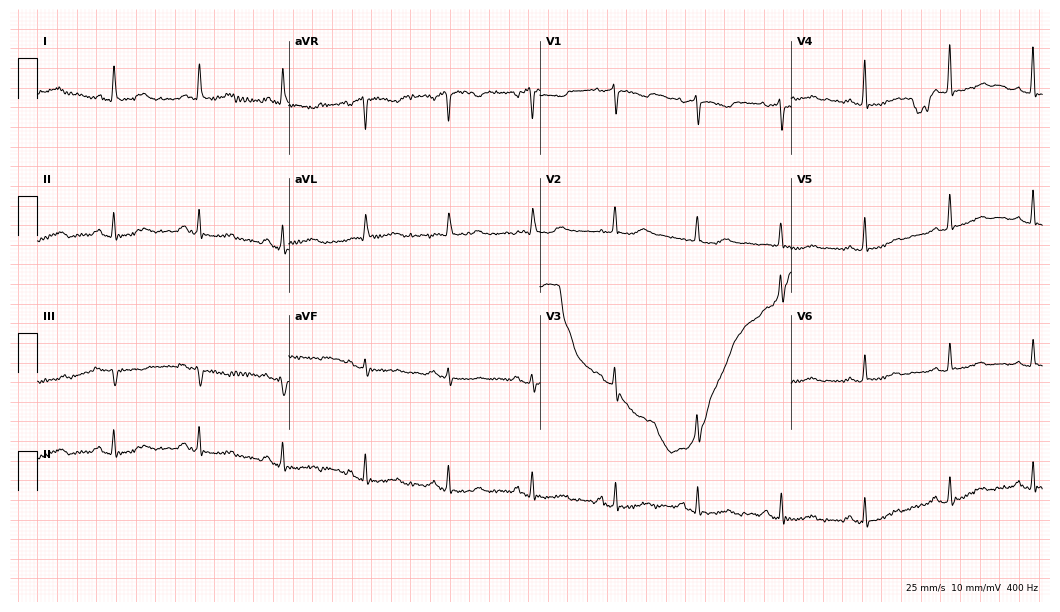
Resting 12-lead electrocardiogram. Patient: a woman, 72 years old. None of these six findings is recorded: first-degree AV block, right bundle branch block, left bundle branch block, sinus bradycardia, atrial fibrillation, sinus tachycardia.